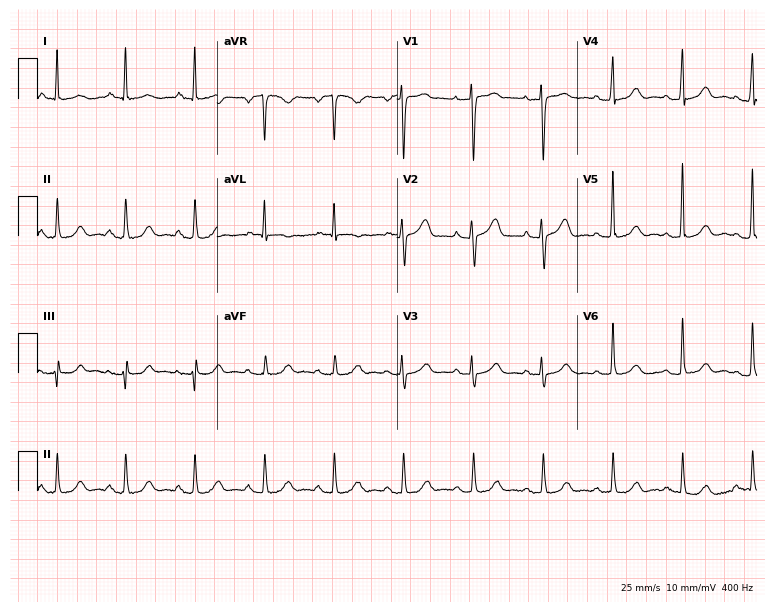
Electrocardiogram (7.3-second recording at 400 Hz), a female patient, 71 years old. Of the six screened findings (first-degree AV block, right bundle branch block (RBBB), left bundle branch block (LBBB), sinus bradycardia, atrial fibrillation (AF), sinus tachycardia), none is recorded. Only these six findings were labelled.